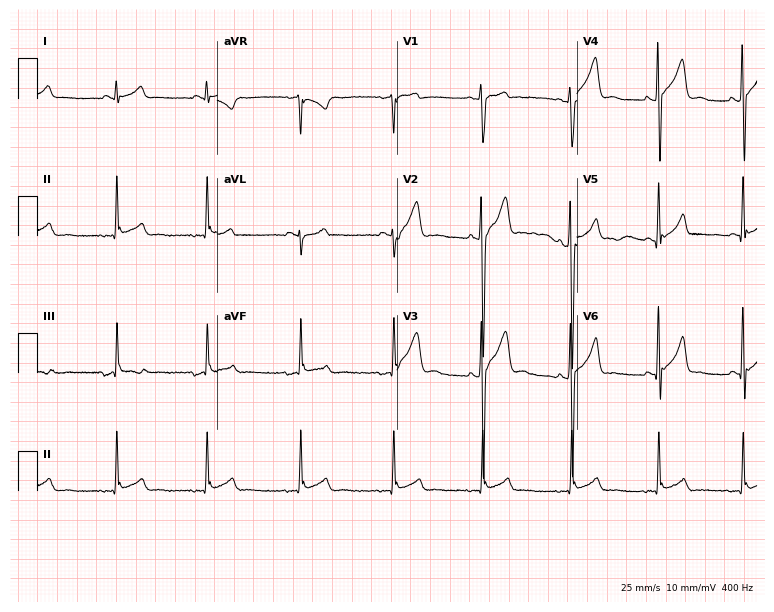
12-lead ECG from a male, 19 years old. No first-degree AV block, right bundle branch block, left bundle branch block, sinus bradycardia, atrial fibrillation or sinus tachycardia recorded for this tracing.